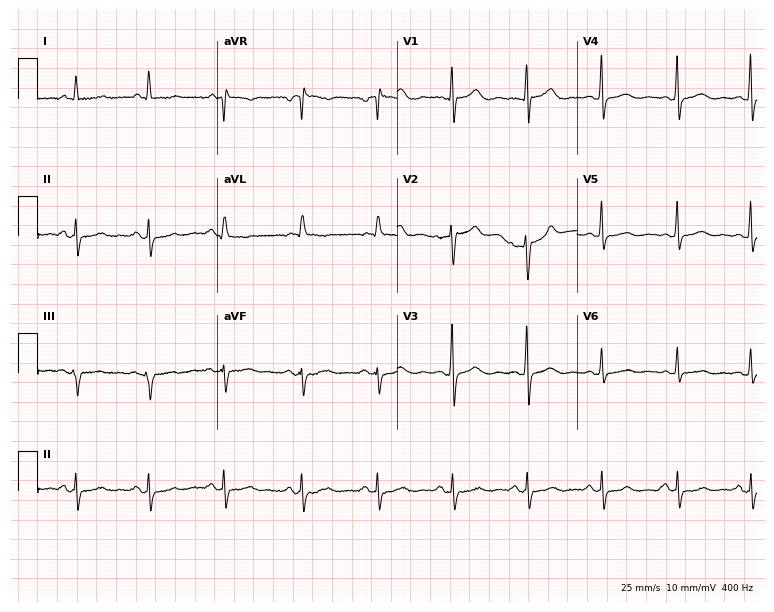
12-lead ECG from a female patient, 48 years old. Screened for six findings — first-degree AV block, right bundle branch block (RBBB), left bundle branch block (LBBB), sinus bradycardia, atrial fibrillation (AF), sinus tachycardia — none is recorded.